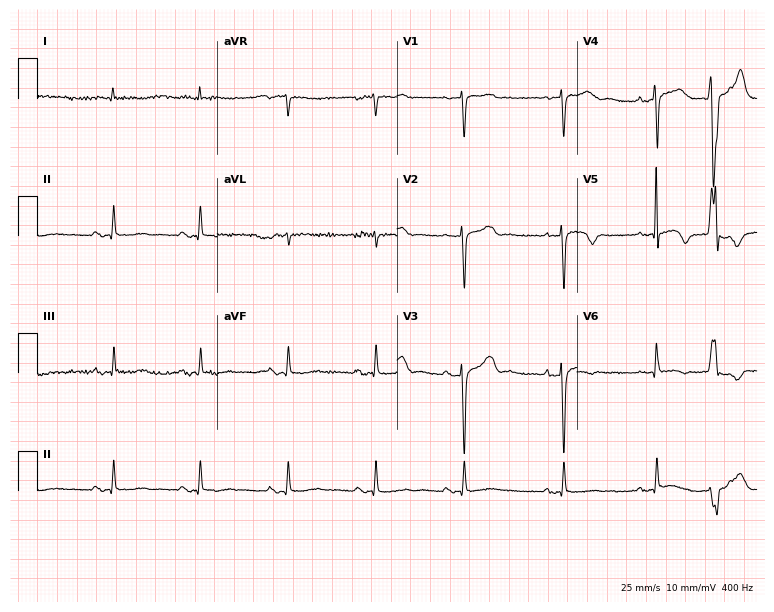
Standard 12-lead ECG recorded from a female, 74 years old. None of these six findings is recorded: first-degree AV block, right bundle branch block, left bundle branch block, sinus bradycardia, atrial fibrillation, sinus tachycardia. Only these six findings were labelled.